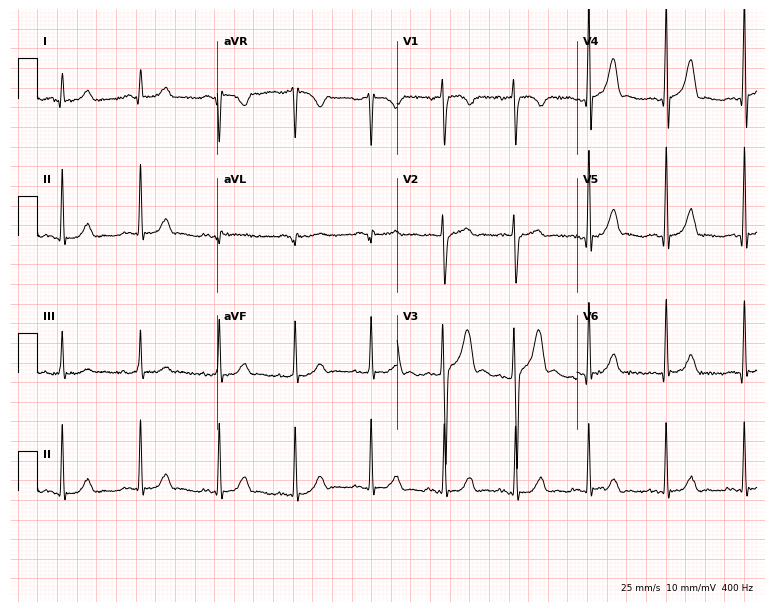
Resting 12-lead electrocardiogram (7.3-second recording at 400 Hz). Patient: an 18-year-old man. Read as a normal ECG.